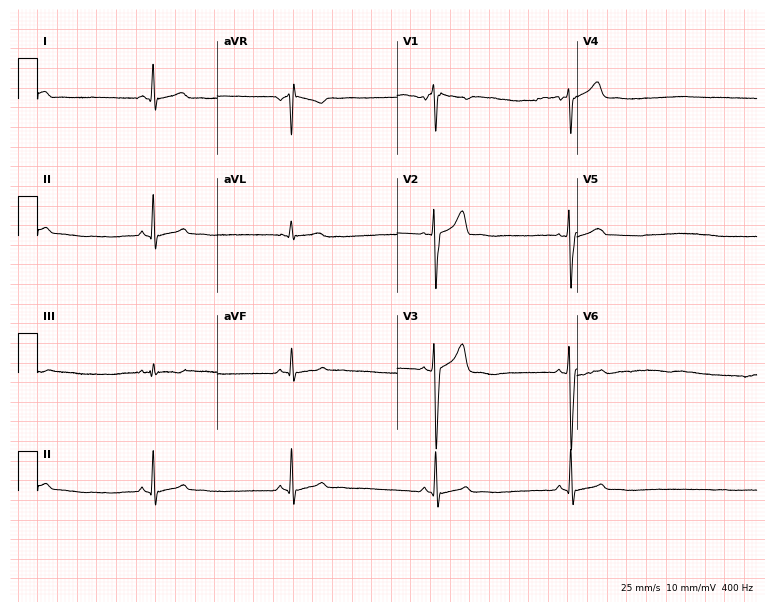
Electrocardiogram (7.3-second recording at 400 Hz), a male, 18 years old. Interpretation includes sinus bradycardia (a sinus rate of 50 beats per minute or less).